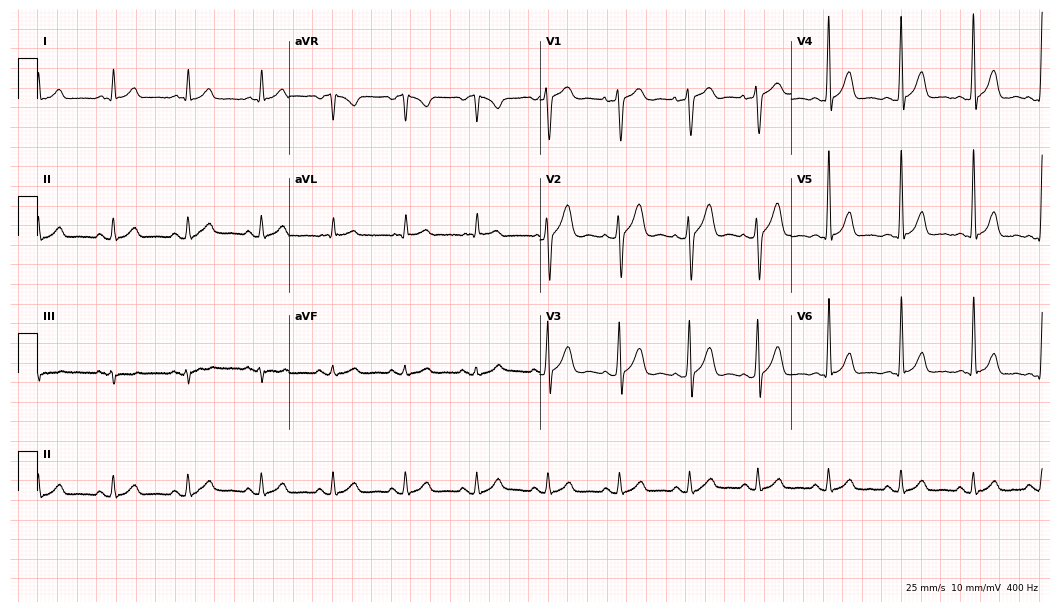
ECG (10.2-second recording at 400 Hz) — a 42-year-old man. Screened for six findings — first-degree AV block, right bundle branch block, left bundle branch block, sinus bradycardia, atrial fibrillation, sinus tachycardia — none is recorded. Only these six findings were labelled.